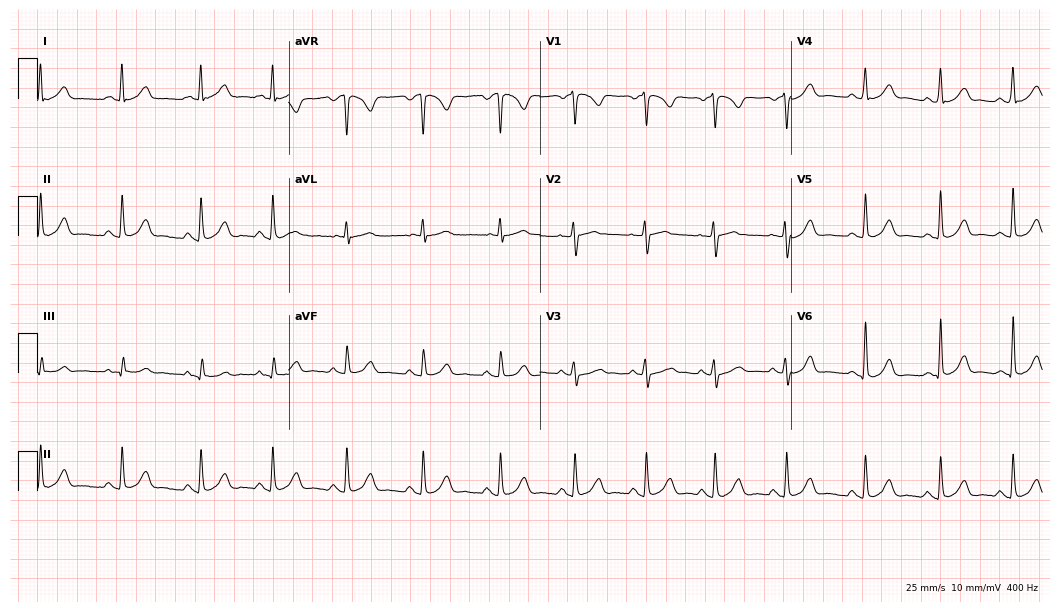
Resting 12-lead electrocardiogram. Patient: a 45-year-old woman. Read as a normal ECG.